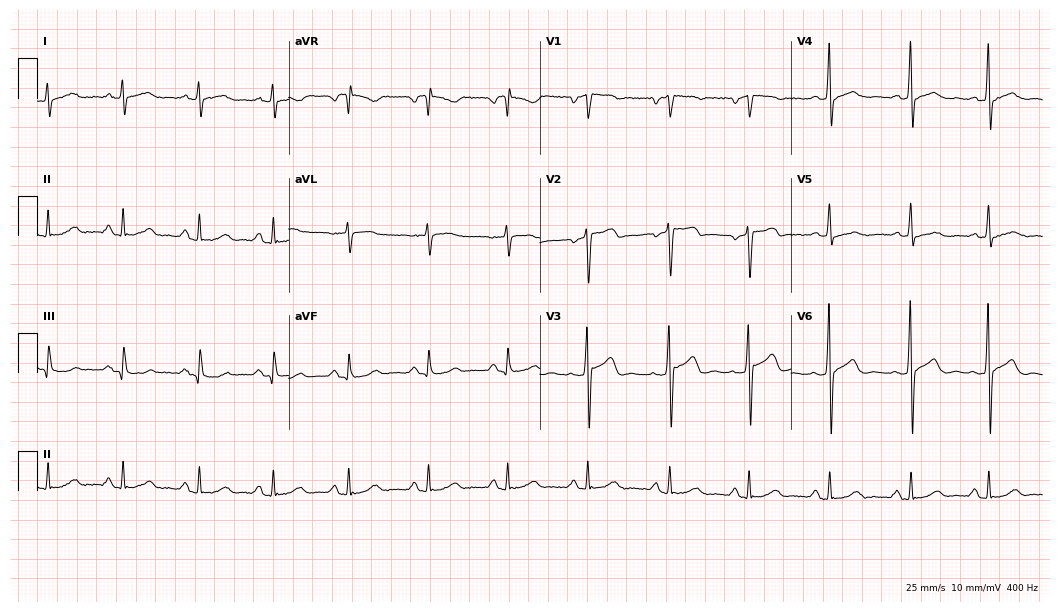
ECG — a 55-year-old male. Screened for six findings — first-degree AV block, right bundle branch block, left bundle branch block, sinus bradycardia, atrial fibrillation, sinus tachycardia — none is recorded. Only these six findings were labelled.